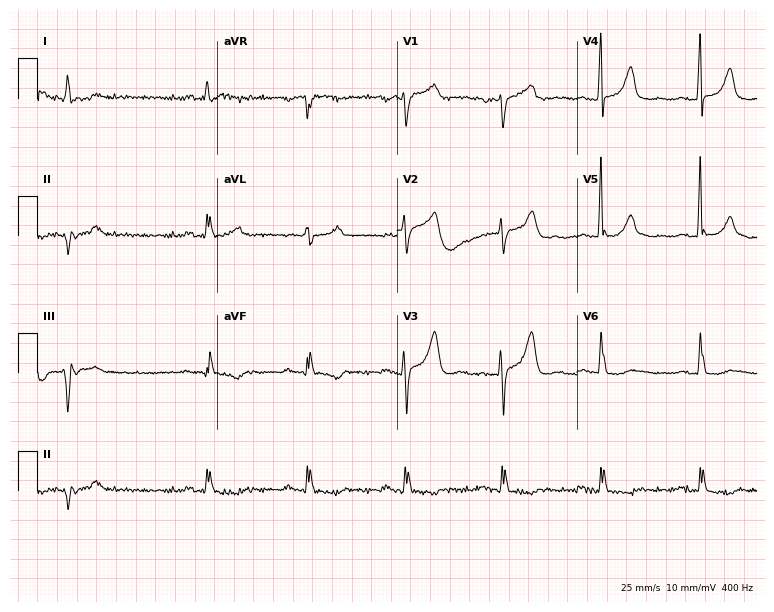
Standard 12-lead ECG recorded from a male patient, 84 years old (7.3-second recording at 400 Hz). None of these six findings is recorded: first-degree AV block, right bundle branch block (RBBB), left bundle branch block (LBBB), sinus bradycardia, atrial fibrillation (AF), sinus tachycardia. Other findings, if any, are not listed.